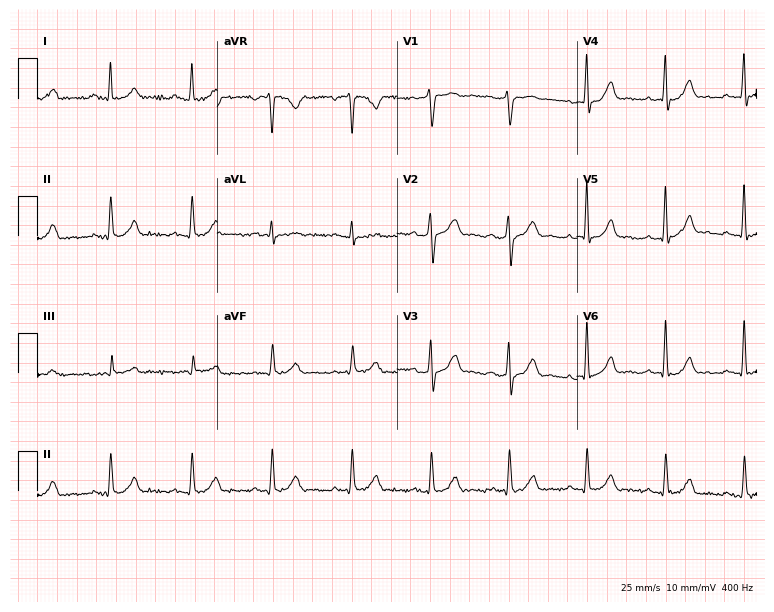
Electrocardiogram, a 48-year-old male. Of the six screened findings (first-degree AV block, right bundle branch block, left bundle branch block, sinus bradycardia, atrial fibrillation, sinus tachycardia), none is recorded. Findings outside these six are not listed.